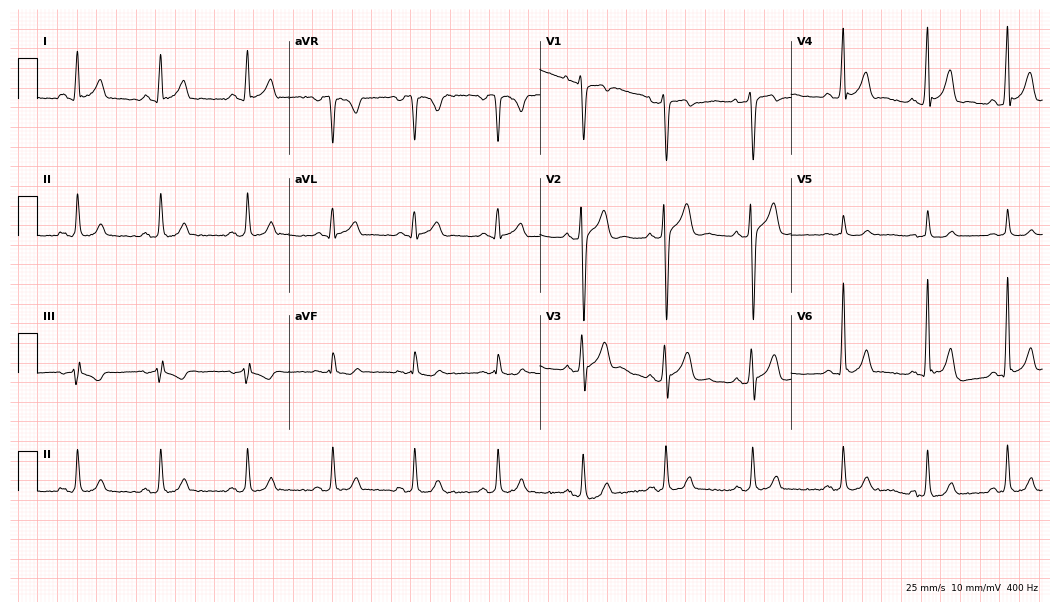
12-lead ECG (10.2-second recording at 400 Hz) from a 36-year-old man. Labelled as a normal ECG.